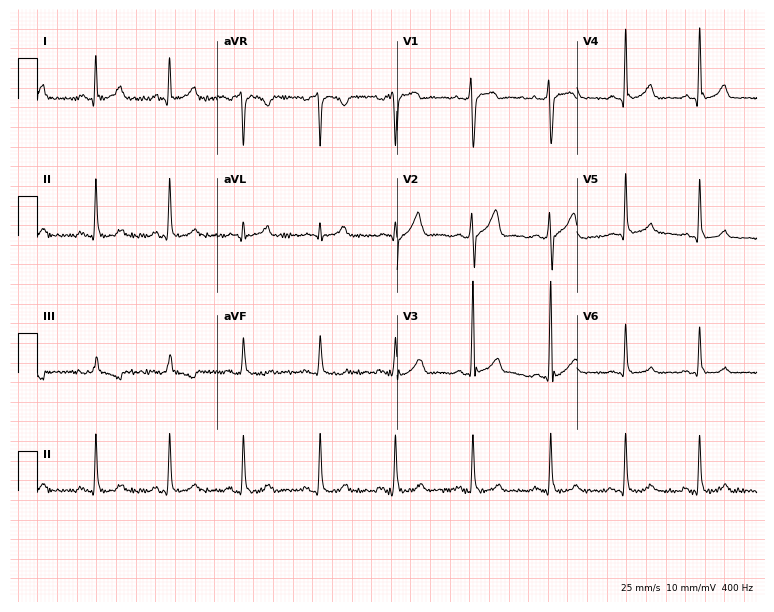
12-lead ECG from a 49-year-old male. Recorded interpretation: within normal limits.